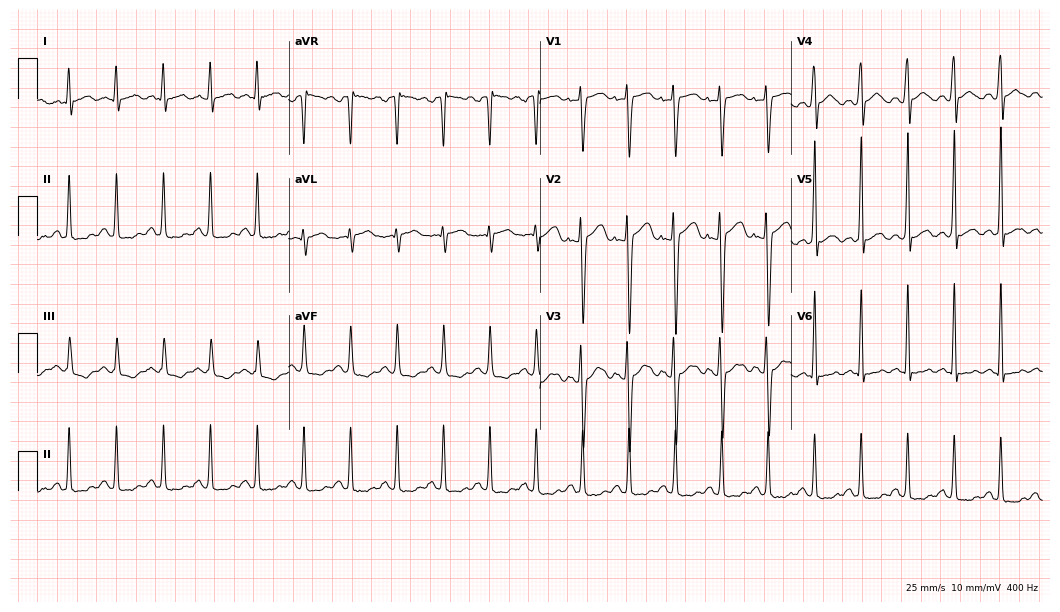
12-lead ECG from a male, 21 years old. Findings include sinus tachycardia (a sinus rate of 100 beats per minute or more).